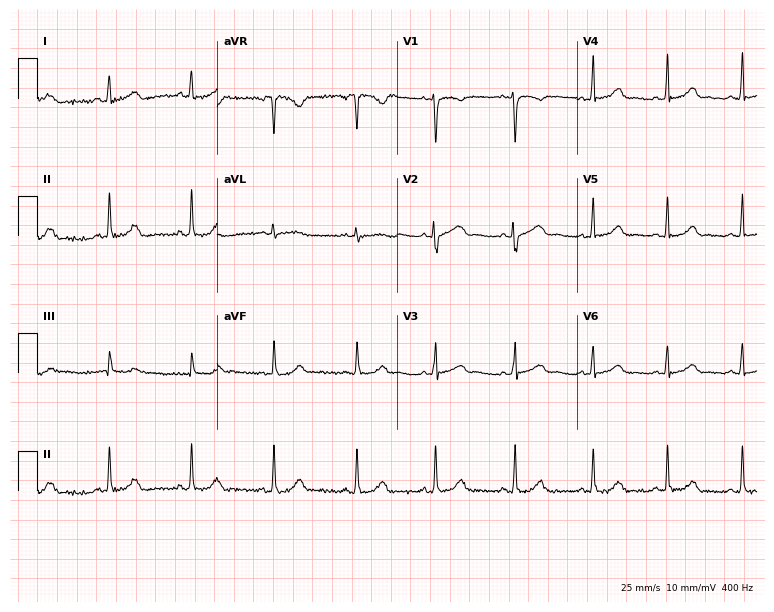
ECG (7.3-second recording at 400 Hz) — a 27-year-old female. Labelled as a normal ECG.